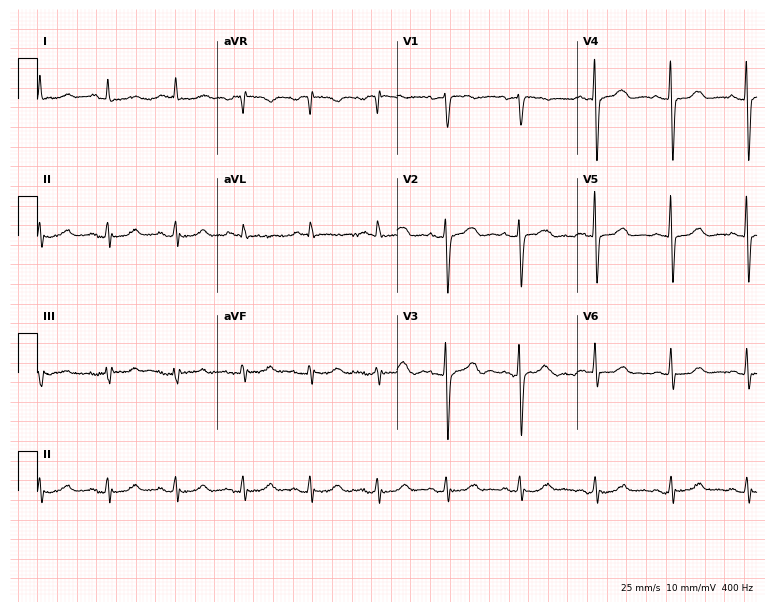
Electrocardiogram, a woman, 72 years old. Of the six screened findings (first-degree AV block, right bundle branch block, left bundle branch block, sinus bradycardia, atrial fibrillation, sinus tachycardia), none is recorded.